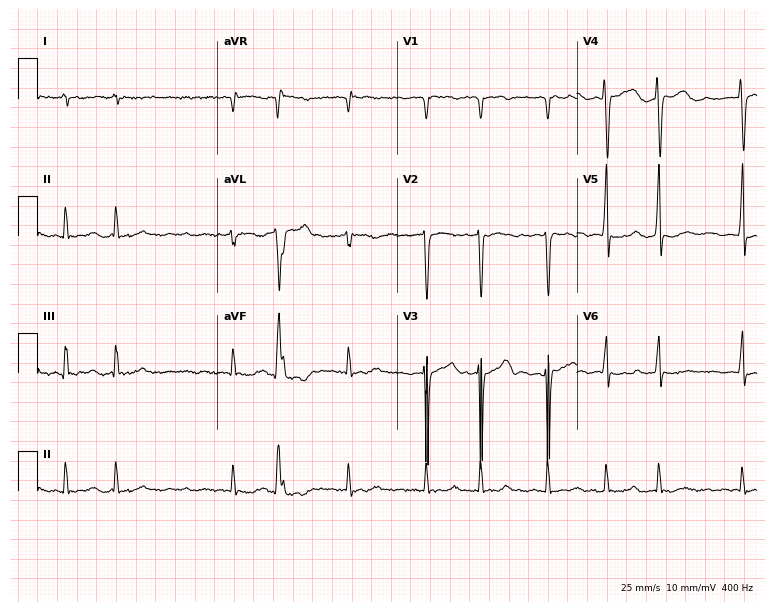
12-lead ECG from a 70-year-old man. Shows atrial fibrillation.